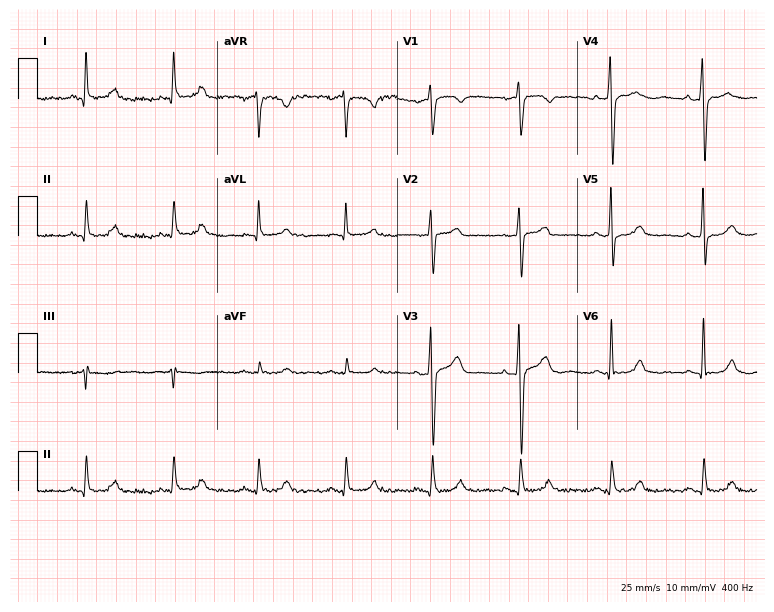
12-lead ECG from a man, 56 years old. Recorded interpretation: within normal limits.